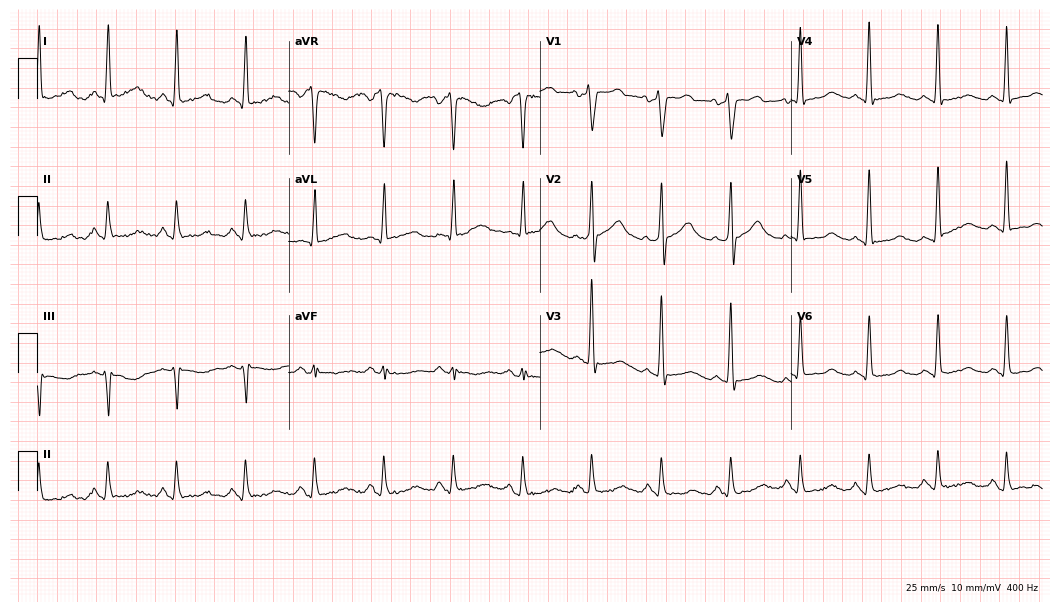
ECG — a male, 53 years old. Screened for six findings — first-degree AV block, right bundle branch block, left bundle branch block, sinus bradycardia, atrial fibrillation, sinus tachycardia — none is recorded. Findings outside these six are not listed.